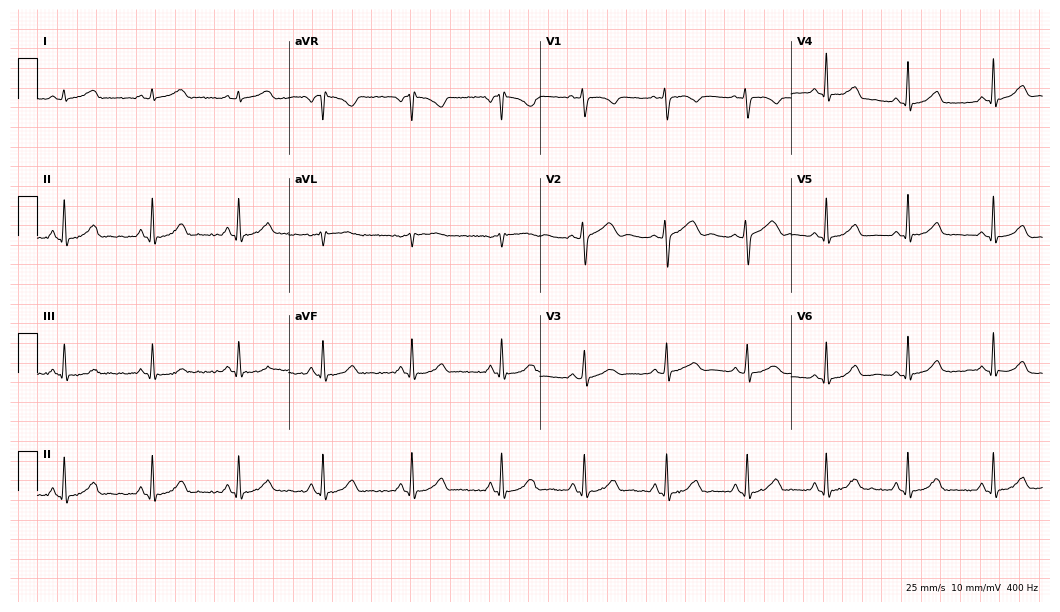
Resting 12-lead electrocardiogram. Patient: a woman, 23 years old. Read as a normal ECG.